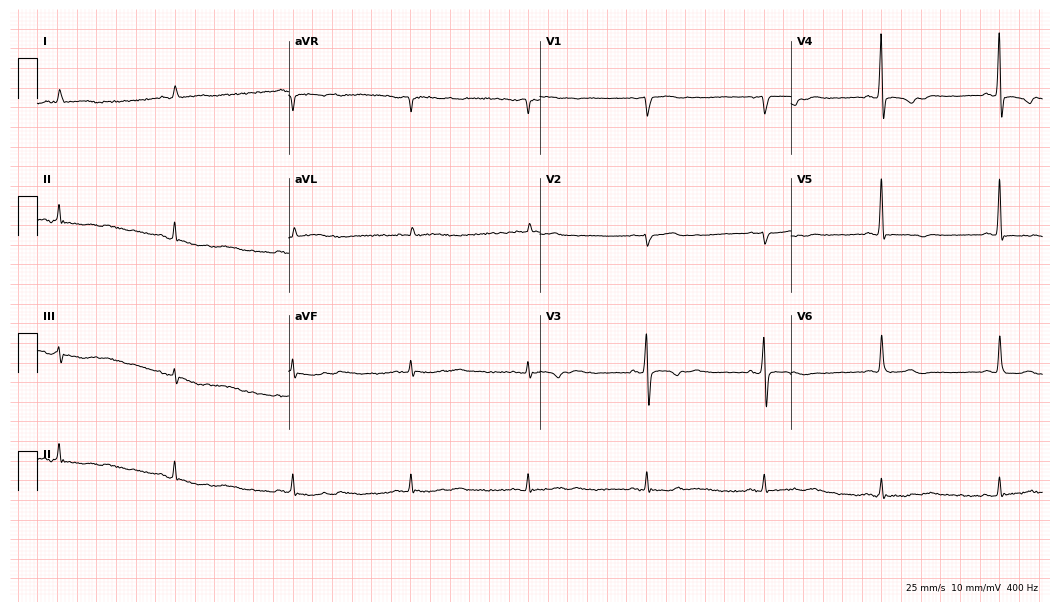
12-lead ECG from a male, 73 years old. No first-degree AV block, right bundle branch block, left bundle branch block, sinus bradycardia, atrial fibrillation or sinus tachycardia recorded for this tracing.